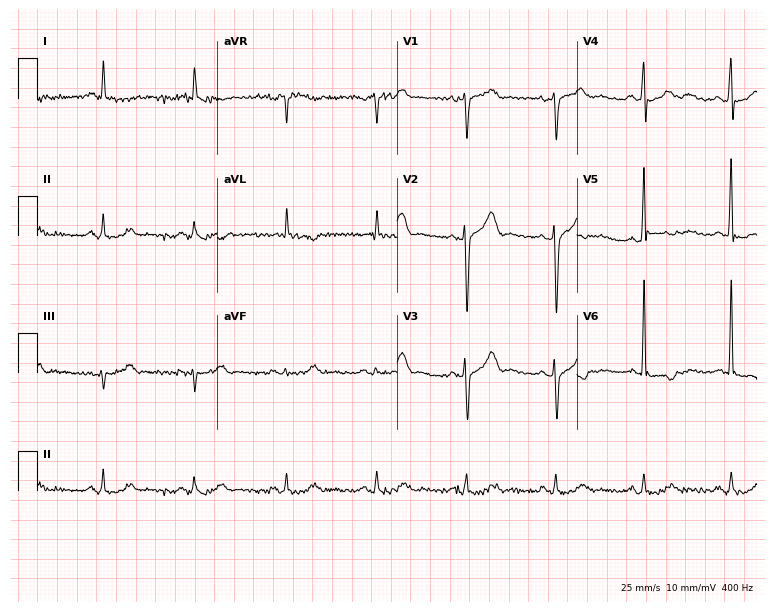
12-lead ECG from a 63-year-old male patient. Screened for six findings — first-degree AV block, right bundle branch block, left bundle branch block, sinus bradycardia, atrial fibrillation, sinus tachycardia — none is recorded.